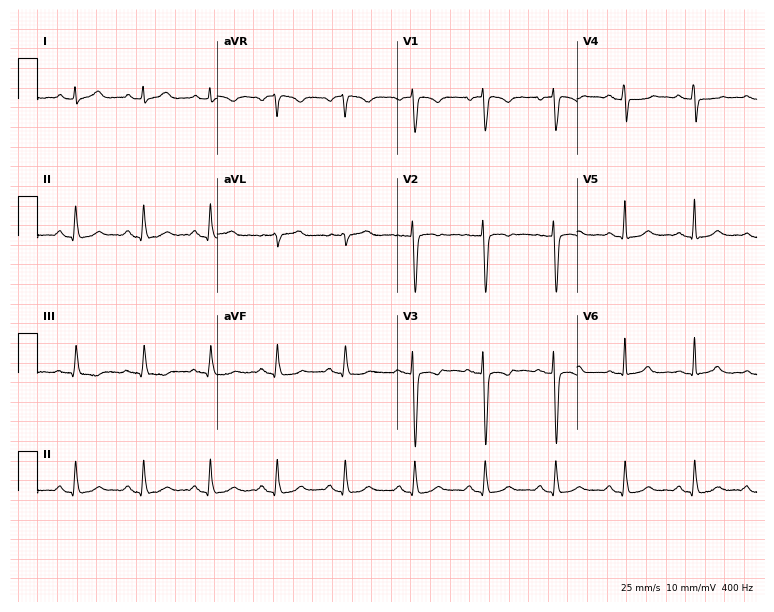
12-lead ECG from a female patient, 30 years old. Labelled as a normal ECG.